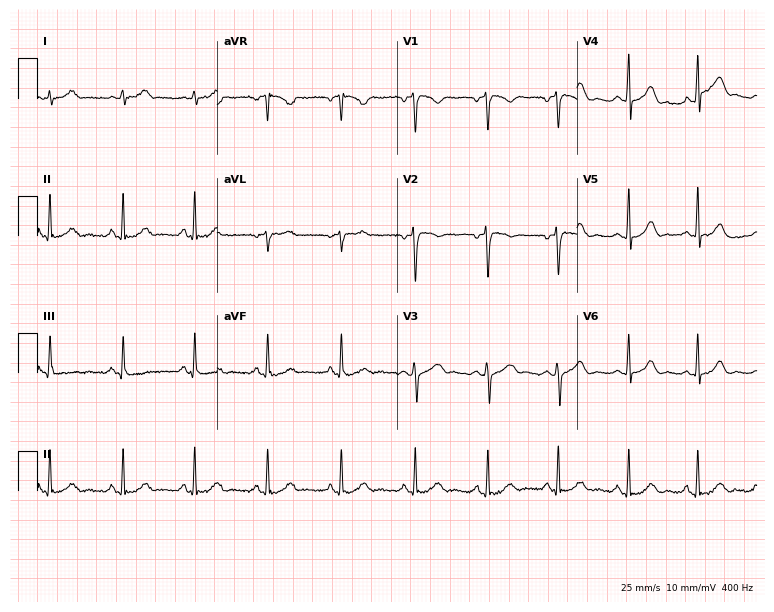
12-lead ECG from a female patient, 35 years old. Recorded interpretation: within normal limits.